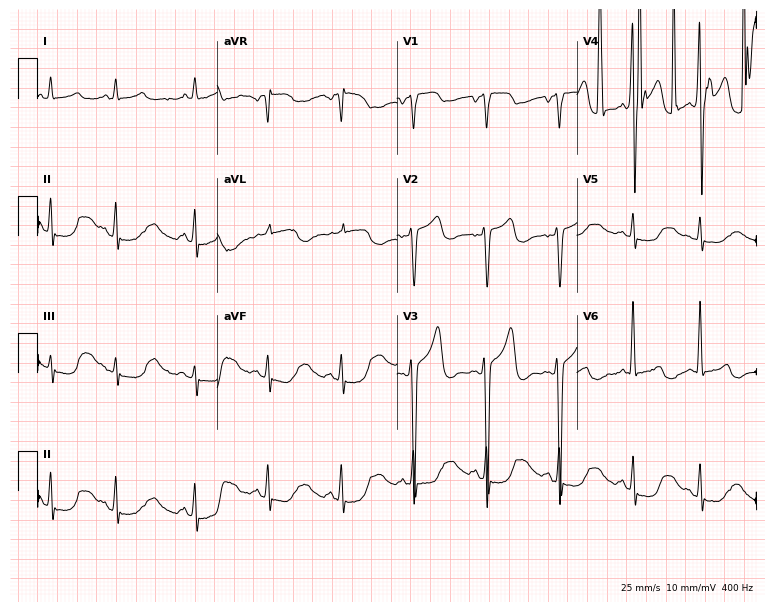
Resting 12-lead electrocardiogram (7.3-second recording at 400 Hz). Patient: a male, 71 years old. None of these six findings is recorded: first-degree AV block, right bundle branch block, left bundle branch block, sinus bradycardia, atrial fibrillation, sinus tachycardia. Findings outside these six are not listed.